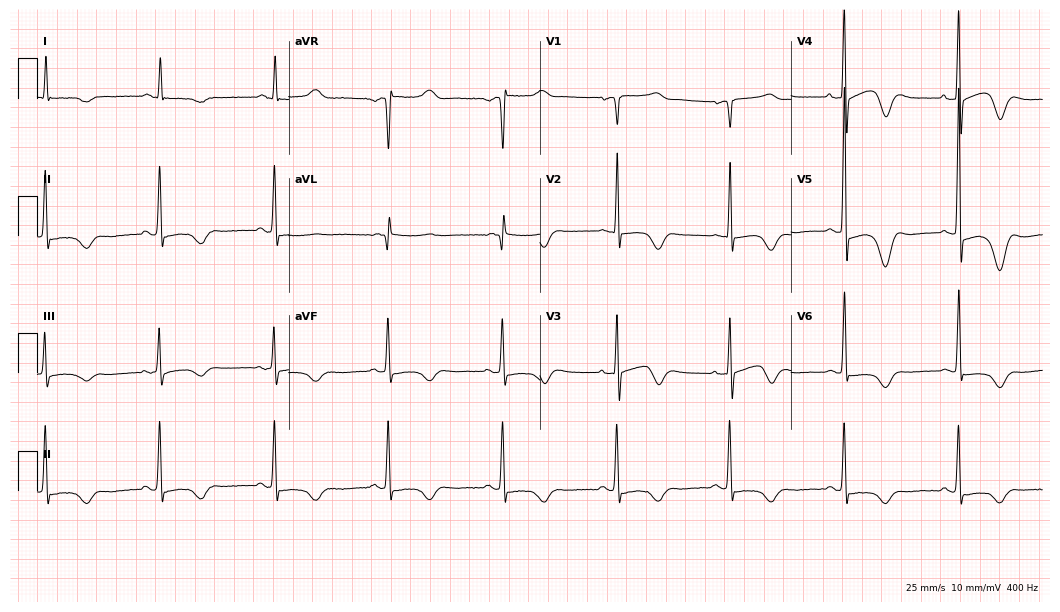
12-lead ECG from an 81-year-old female patient (10.2-second recording at 400 Hz). No first-degree AV block, right bundle branch block, left bundle branch block, sinus bradycardia, atrial fibrillation or sinus tachycardia recorded for this tracing. Only these six findings were labelled.